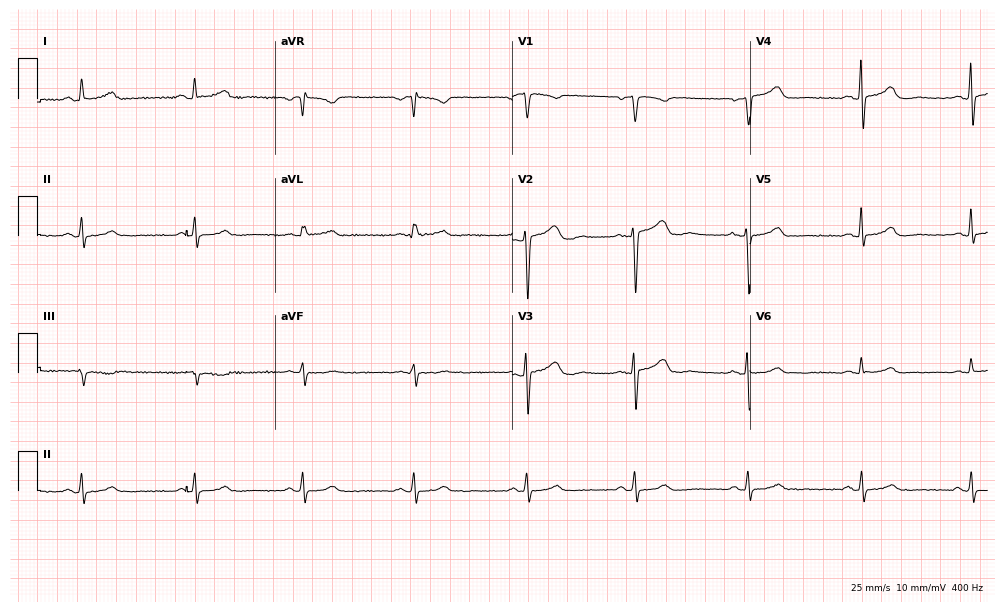
12-lead ECG from a 45-year-old female patient. Labelled as a normal ECG.